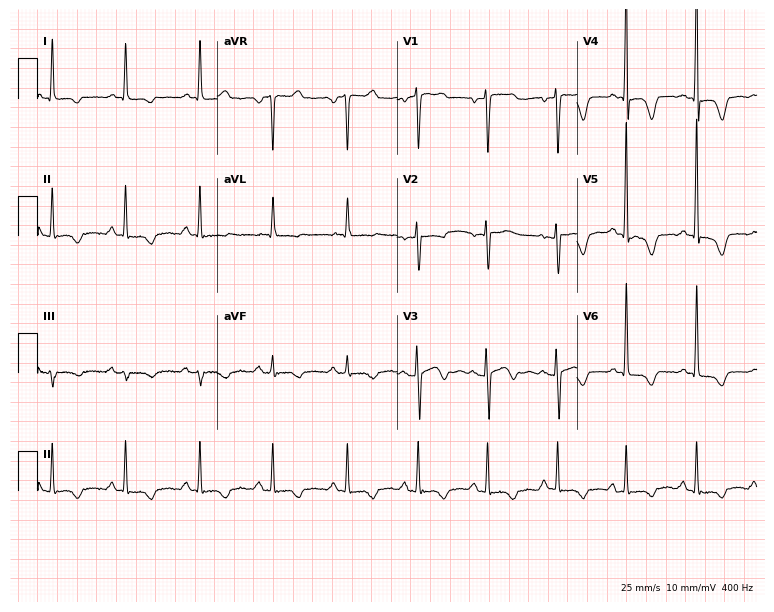
12-lead ECG (7.3-second recording at 400 Hz) from a 55-year-old female patient. Screened for six findings — first-degree AV block, right bundle branch block (RBBB), left bundle branch block (LBBB), sinus bradycardia, atrial fibrillation (AF), sinus tachycardia — none is recorded. Other findings, if any, are not listed.